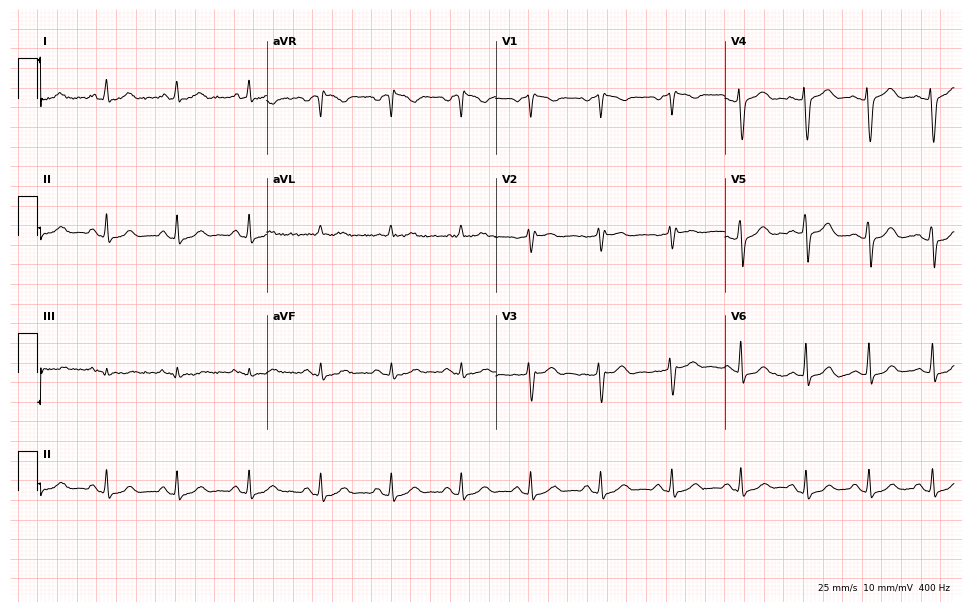
12-lead ECG from a female, 42 years old. Labelled as a normal ECG.